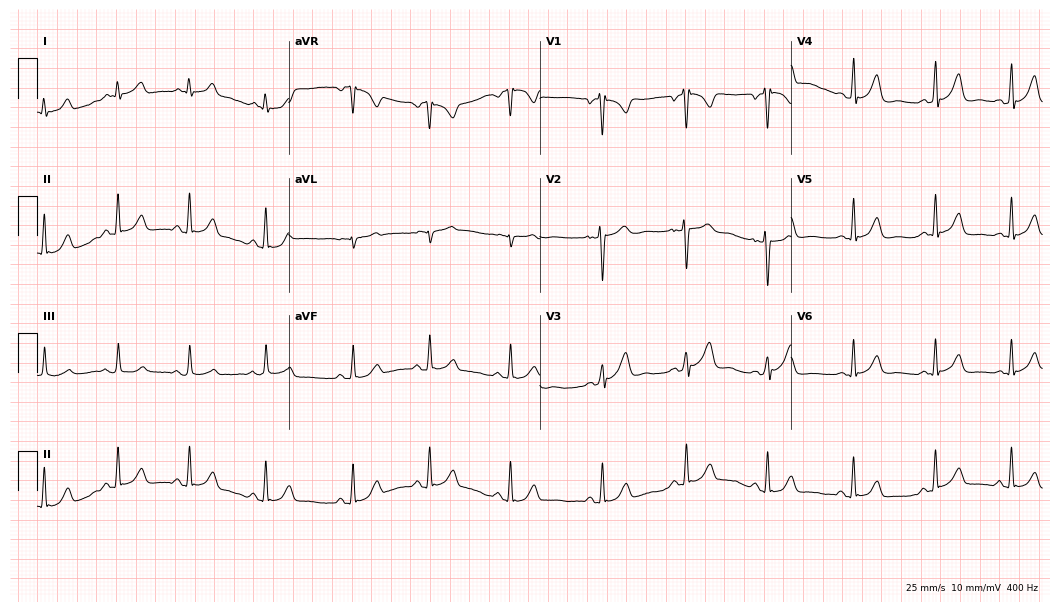
Standard 12-lead ECG recorded from a 25-year-old woman (10.2-second recording at 400 Hz). Read as a normal ECG.